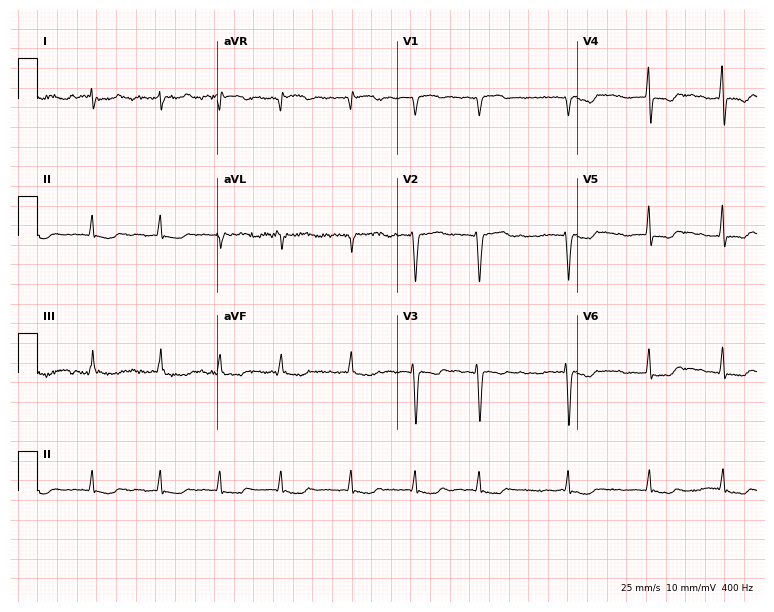
12-lead ECG from a woman, 72 years old. Findings include atrial fibrillation.